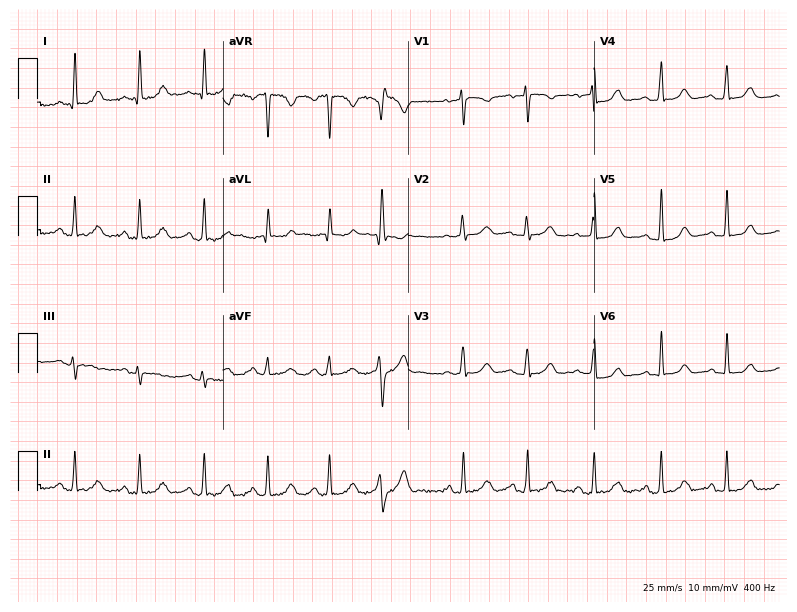
12-lead ECG from a 63-year-old female patient. Labelled as a normal ECG.